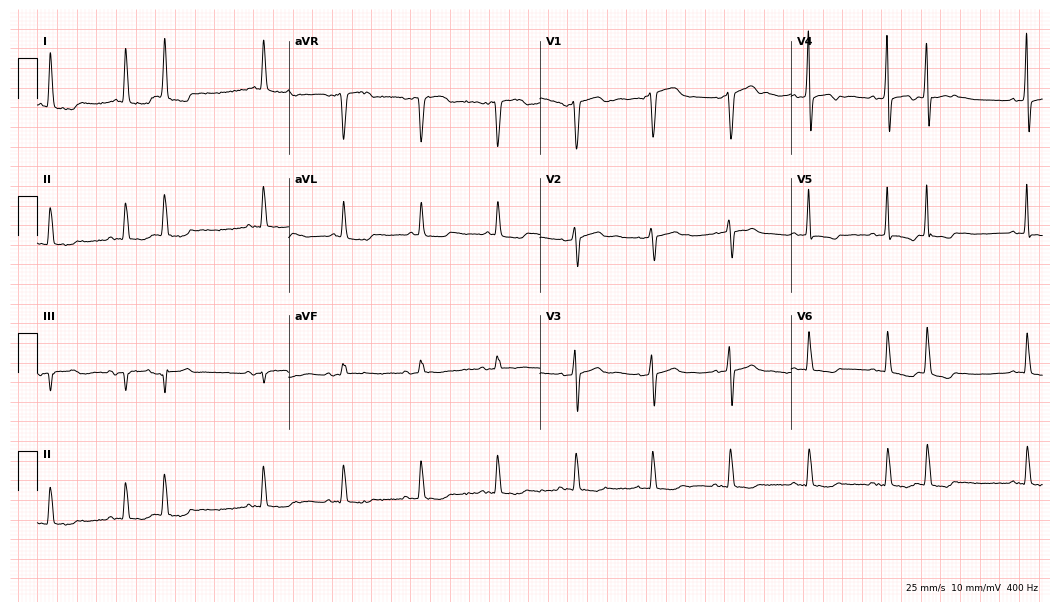
12-lead ECG from a 73-year-old female. Screened for six findings — first-degree AV block, right bundle branch block, left bundle branch block, sinus bradycardia, atrial fibrillation, sinus tachycardia — none is recorded. Only these six findings were labelled.